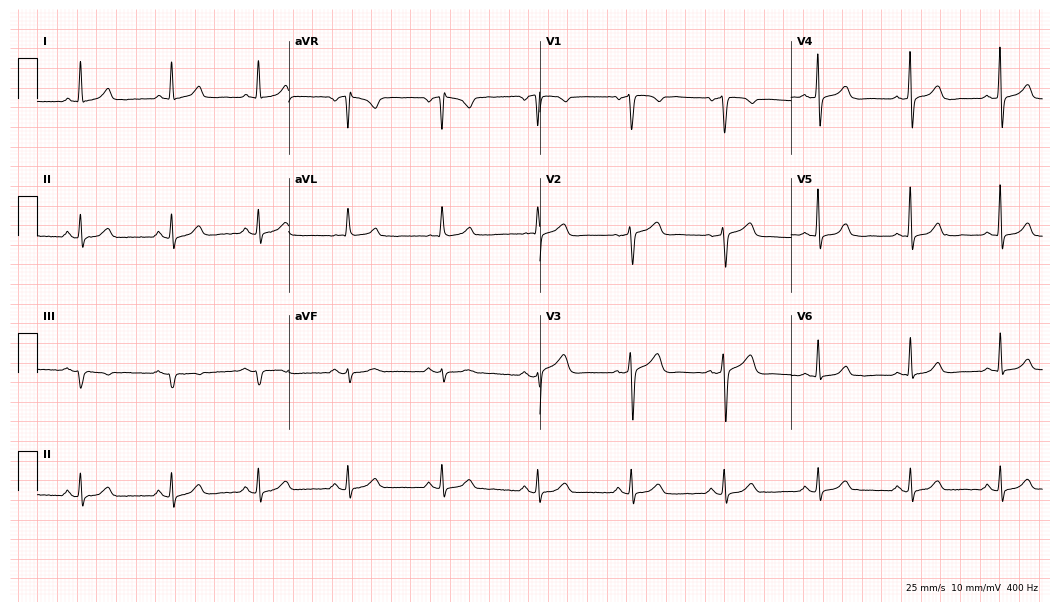
12-lead ECG from a 60-year-old woman (10.2-second recording at 400 Hz). Recorded interpretation: within normal limits.